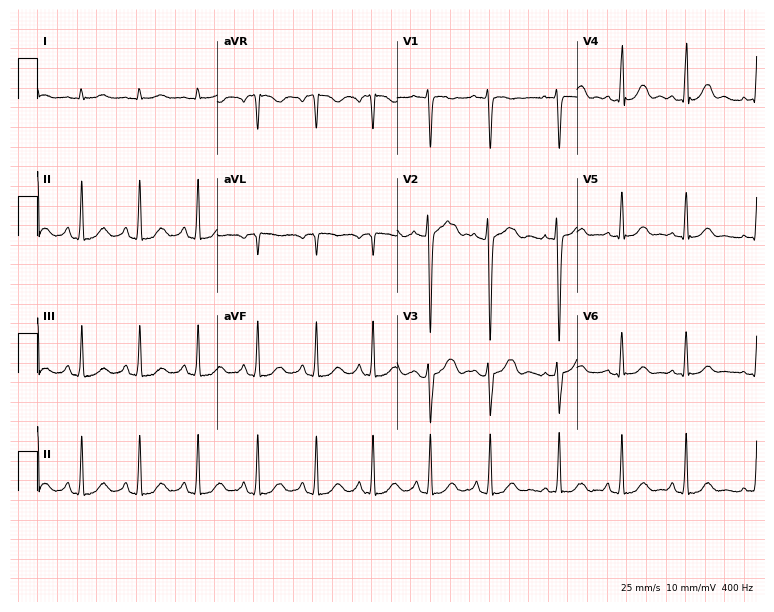
Standard 12-lead ECG recorded from a woman, 30 years old (7.3-second recording at 400 Hz). Read as a normal ECG.